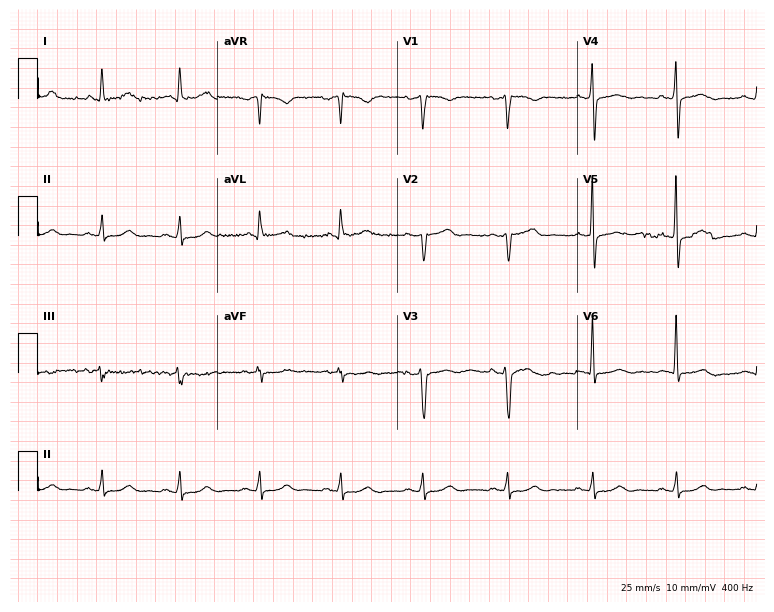
Standard 12-lead ECG recorded from a male patient, 59 years old. Read as a normal ECG.